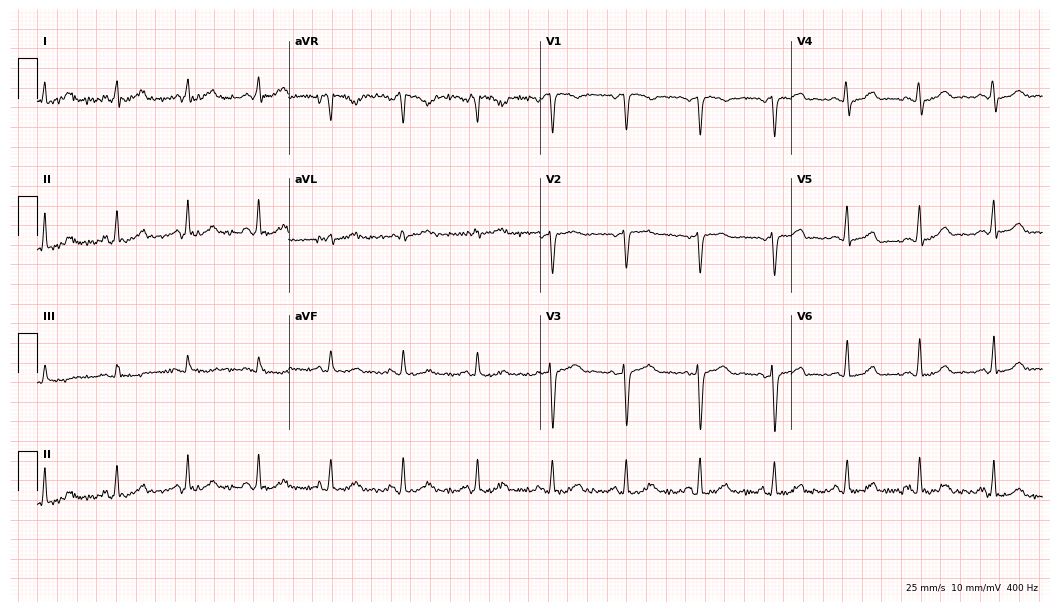
ECG — a female patient, 40 years old. Labelled as a normal ECG.